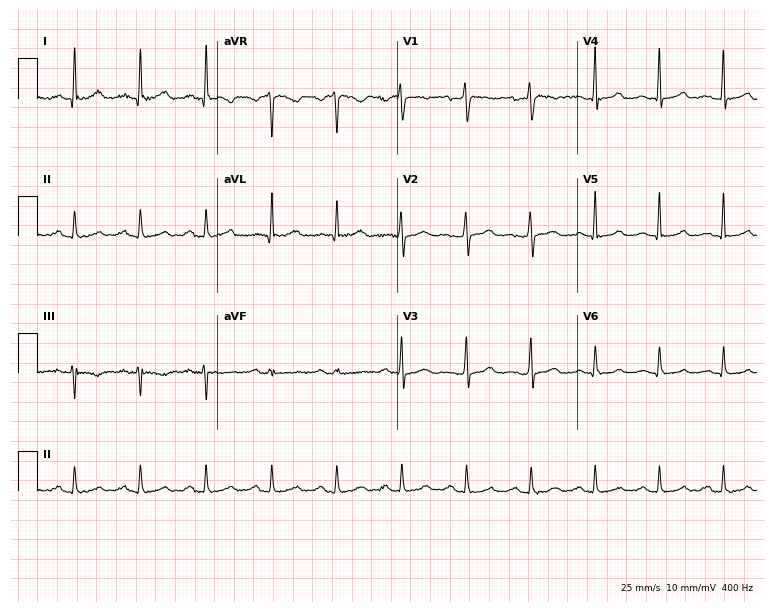
12-lead ECG (7.3-second recording at 400 Hz) from a female patient, 43 years old. Labelled as a normal ECG.